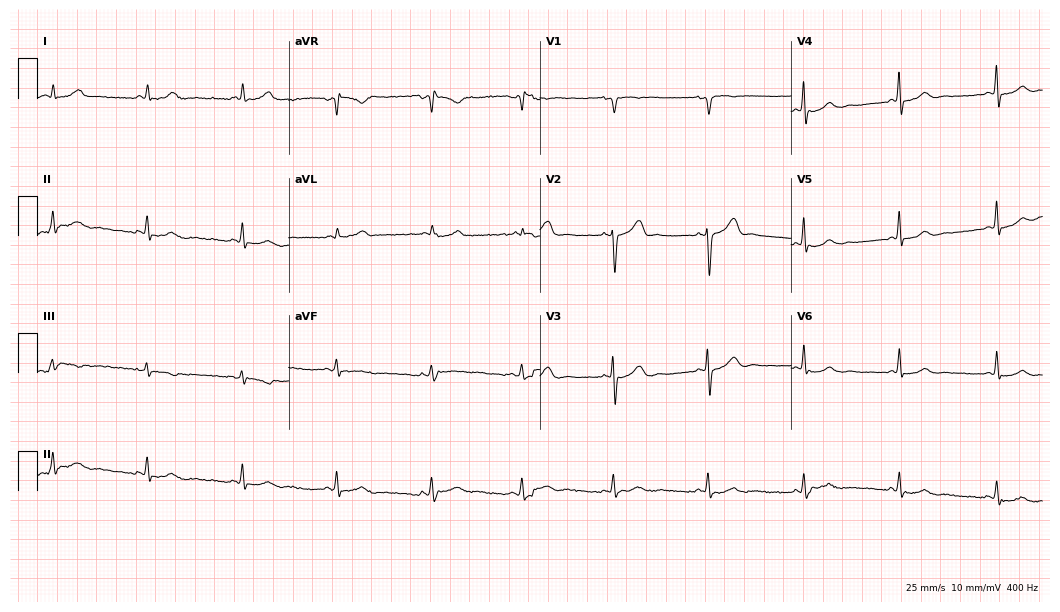
ECG — a 44-year-old woman. Screened for six findings — first-degree AV block, right bundle branch block (RBBB), left bundle branch block (LBBB), sinus bradycardia, atrial fibrillation (AF), sinus tachycardia — none is recorded.